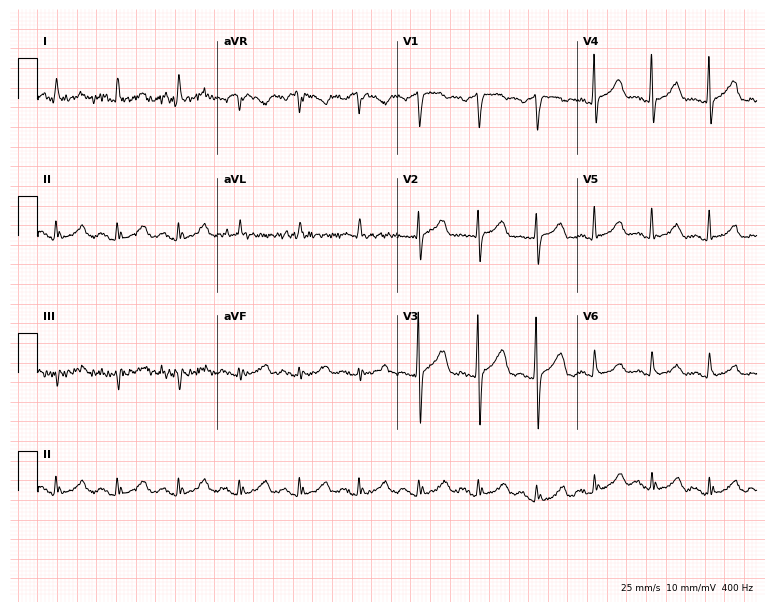
Resting 12-lead electrocardiogram. Patient: a male, 59 years old. None of these six findings is recorded: first-degree AV block, right bundle branch block, left bundle branch block, sinus bradycardia, atrial fibrillation, sinus tachycardia. Only these six findings were labelled.